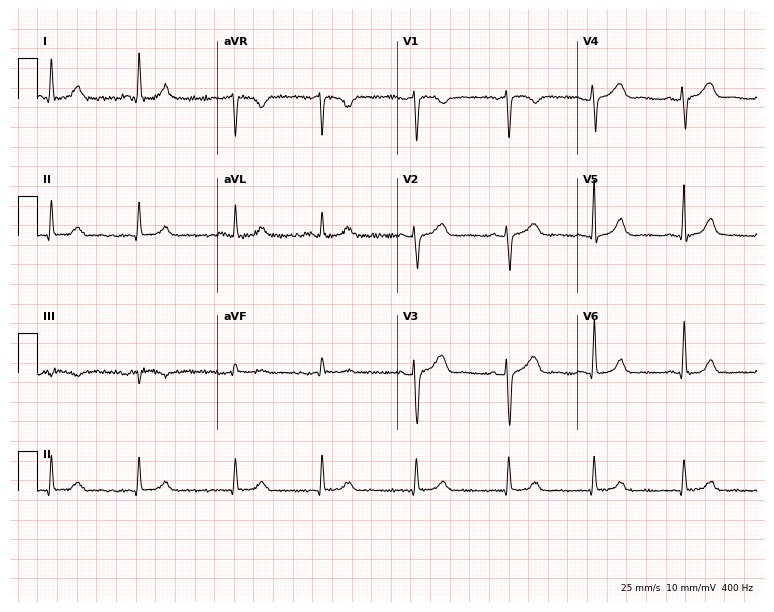
12-lead ECG from a female patient, 42 years old. Labelled as a normal ECG.